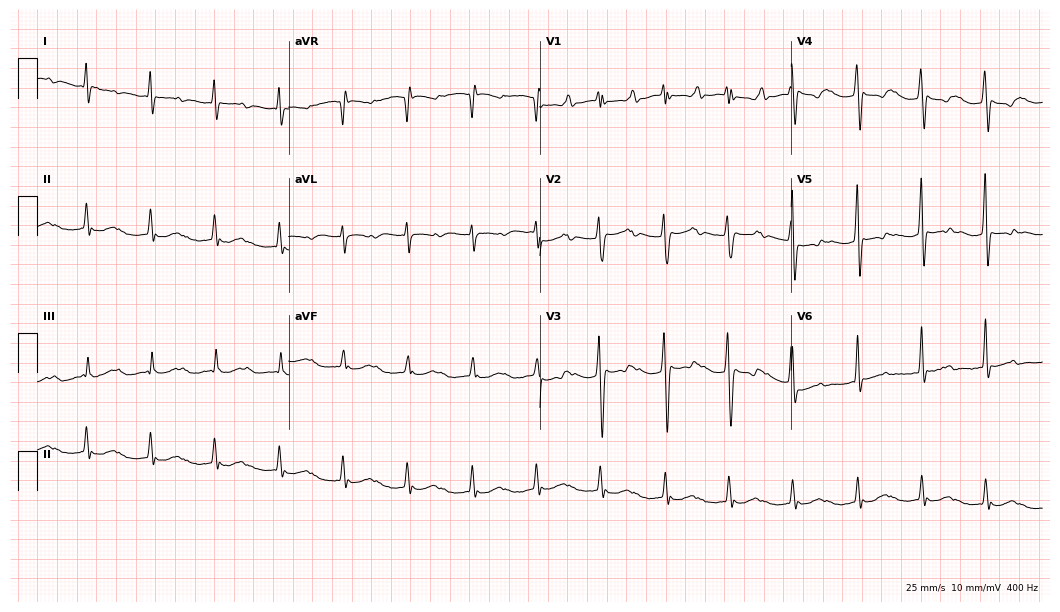
Electrocardiogram, a male patient, 48 years old. Of the six screened findings (first-degree AV block, right bundle branch block (RBBB), left bundle branch block (LBBB), sinus bradycardia, atrial fibrillation (AF), sinus tachycardia), none is recorded. Only these six findings were labelled.